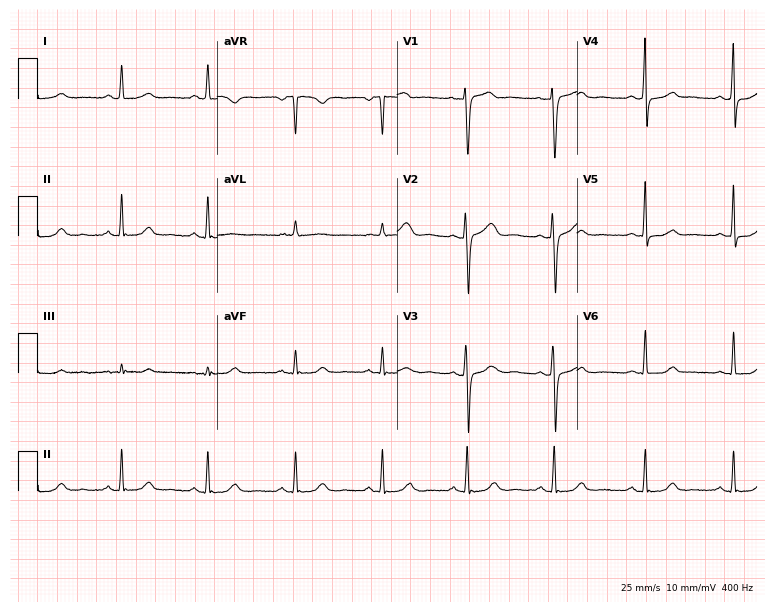
Standard 12-lead ECG recorded from a 38-year-old female (7.3-second recording at 400 Hz). None of these six findings is recorded: first-degree AV block, right bundle branch block (RBBB), left bundle branch block (LBBB), sinus bradycardia, atrial fibrillation (AF), sinus tachycardia.